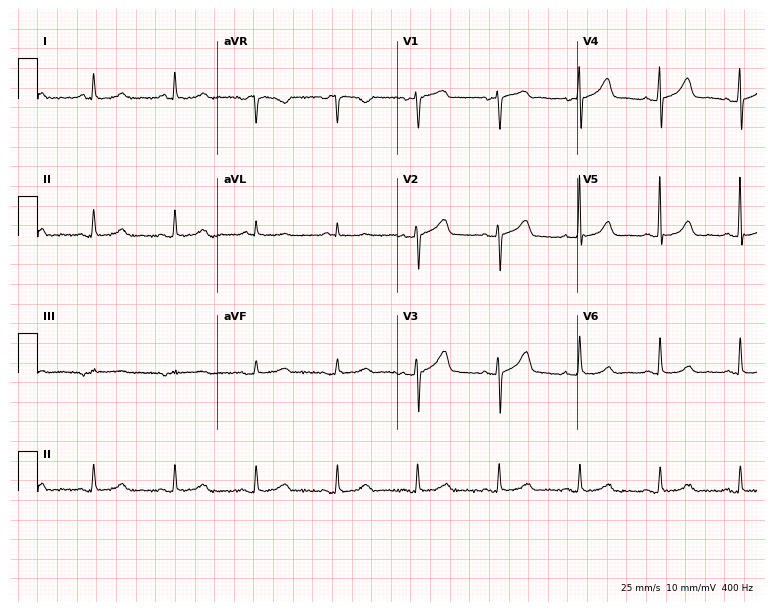
ECG (7.3-second recording at 400 Hz) — a 69-year-old female patient. Labelled as a normal ECG.